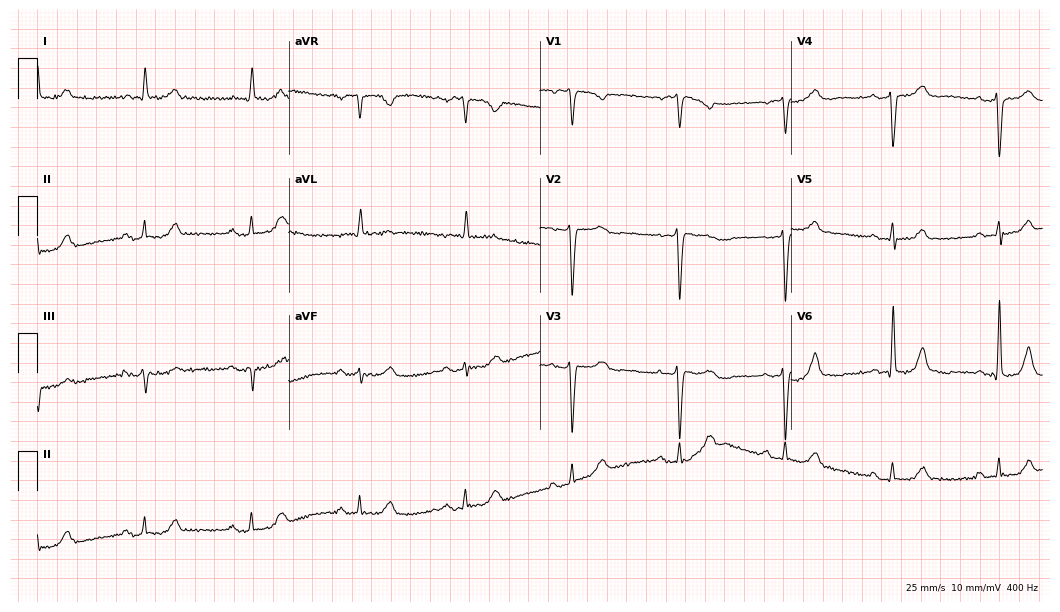
Standard 12-lead ECG recorded from an 83-year-old female patient. Read as a normal ECG.